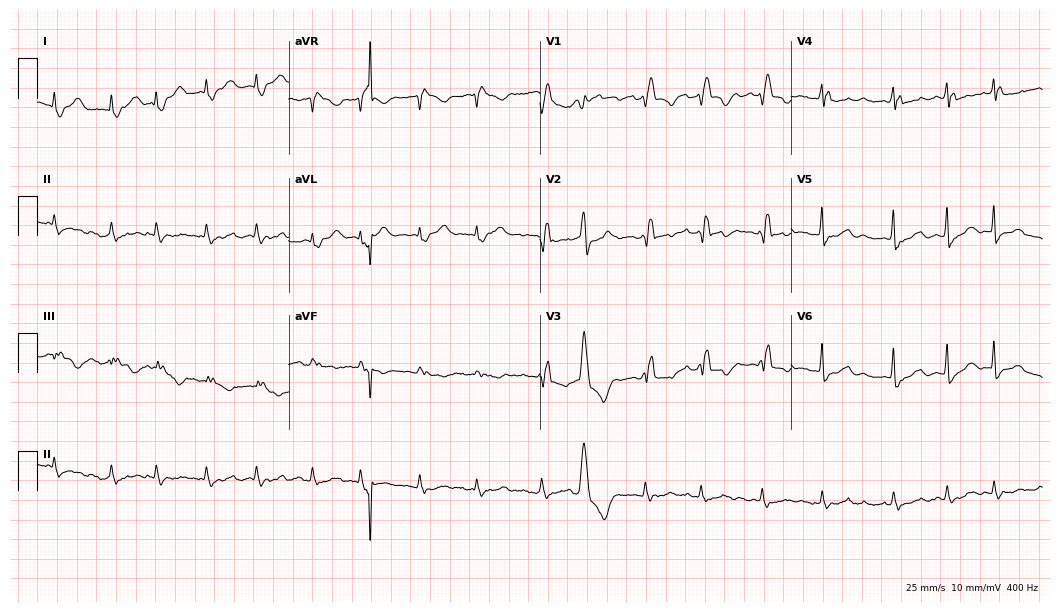
12-lead ECG from a female, 80 years old (10.2-second recording at 400 Hz). Shows right bundle branch block, atrial fibrillation.